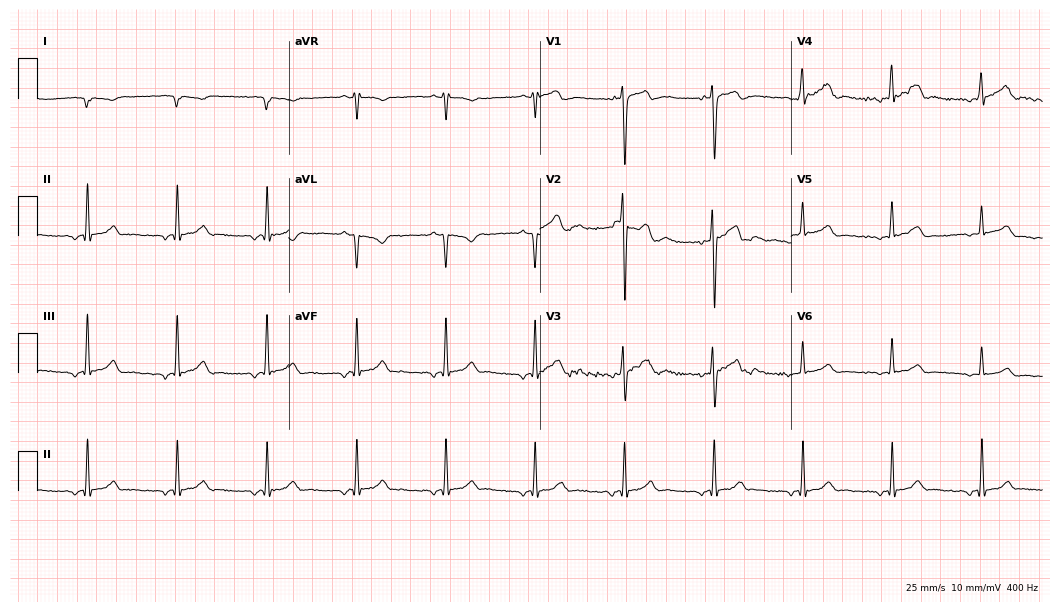
12-lead ECG from a male patient, 20 years old. No first-degree AV block, right bundle branch block, left bundle branch block, sinus bradycardia, atrial fibrillation or sinus tachycardia recorded for this tracing.